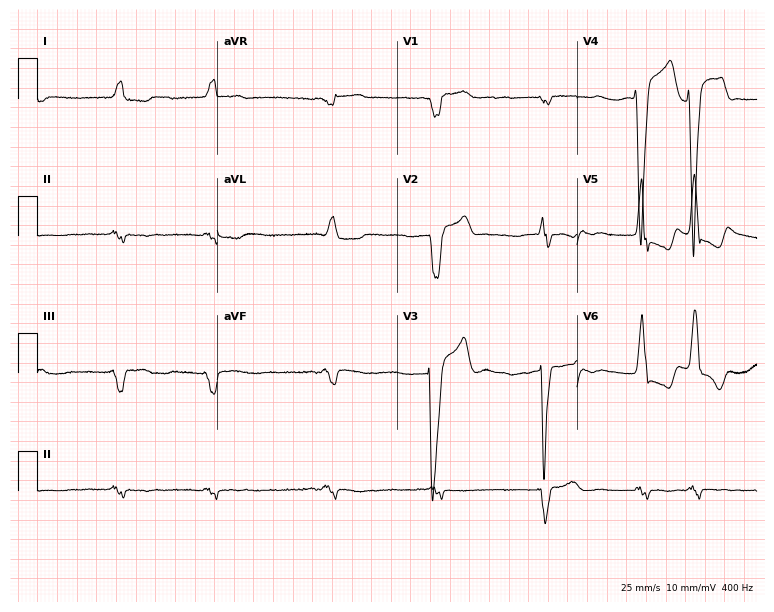
Electrocardiogram, an 85-year-old woman. Interpretation includes left bundle branch block (LBBB), atrial fibrillation (AF).